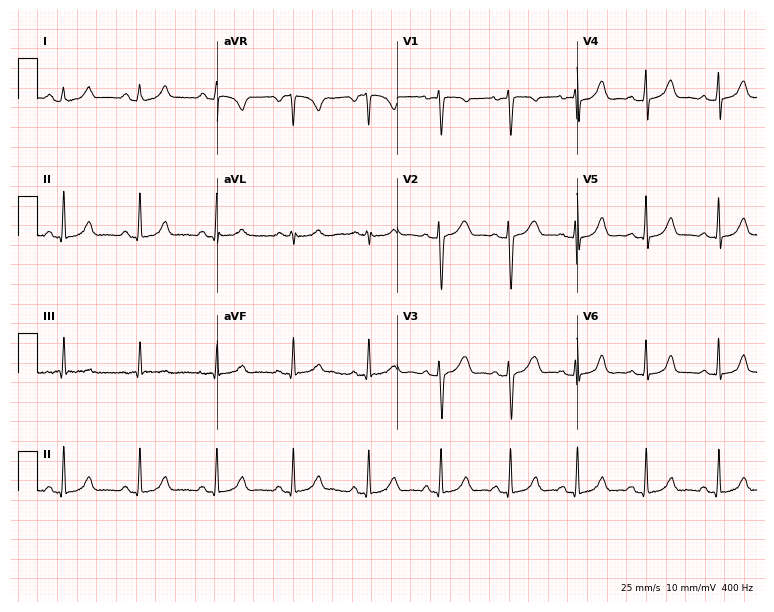
ECG — a female patient, 28 years old. Screened for six findings — first-degree AV block, right bundle branch block, left bundle branch block, sinus bradycardia, atrial fibrillation, sinus tachycardia — none is recorded. Other findings, if any, are not listed.